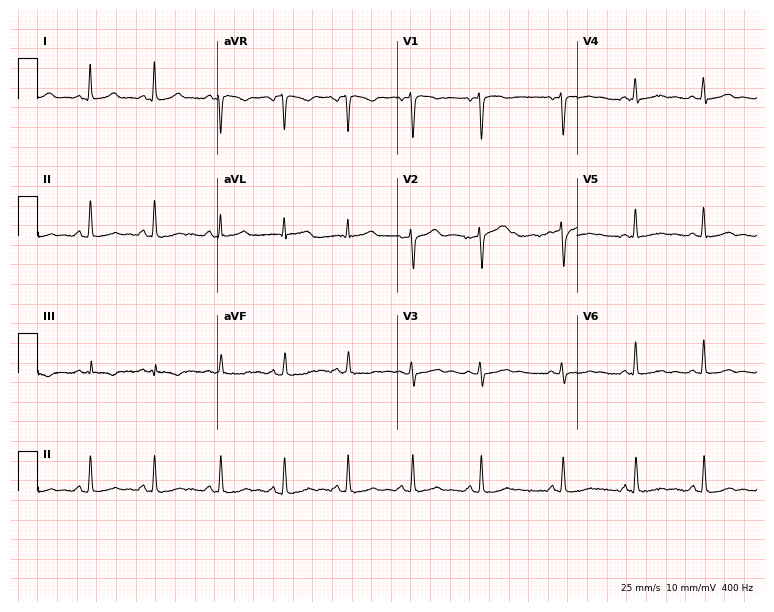
Resting 12-lead electrocardiogram. Patient: a female, 41 years old. Read as a normal ECG.